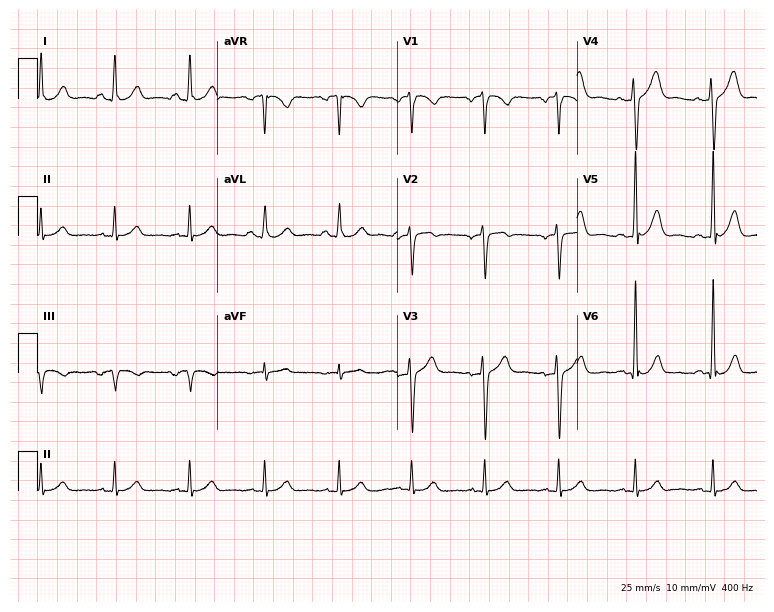
Standard 12-lead ECG recorded from a 56-year-old male patient. Read as a normal ECG.